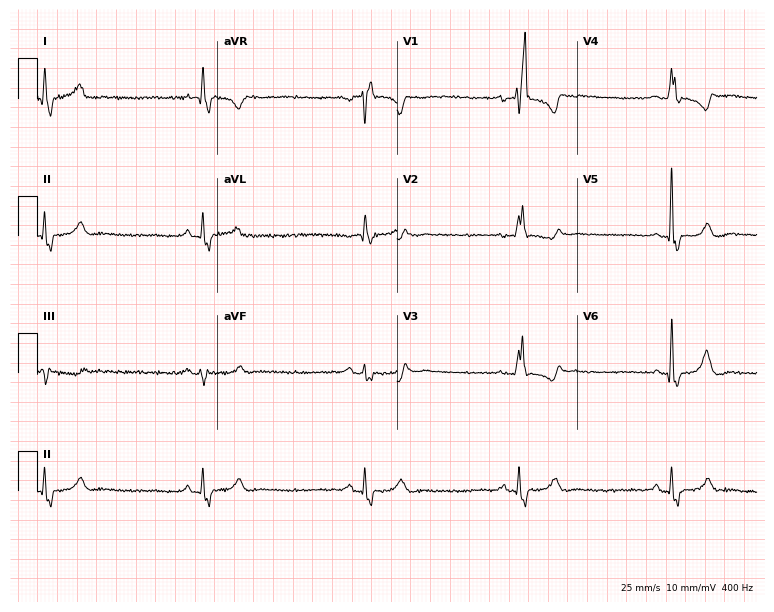
ECG — an 81-year-old female patient. Findings include right bundle branch block, sinus bradycardia (a sinus rate of 50 beats per minute or less).